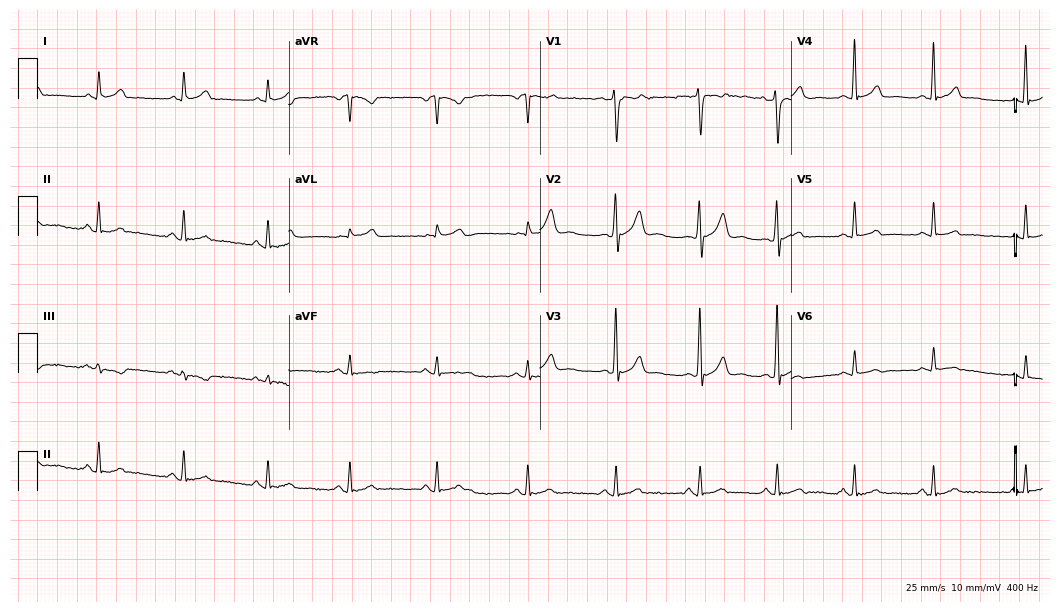
12-lead ECG from a man, 29 years old (10.2-second recording at 400 Hz). Recorded interpretation: within normal limits.